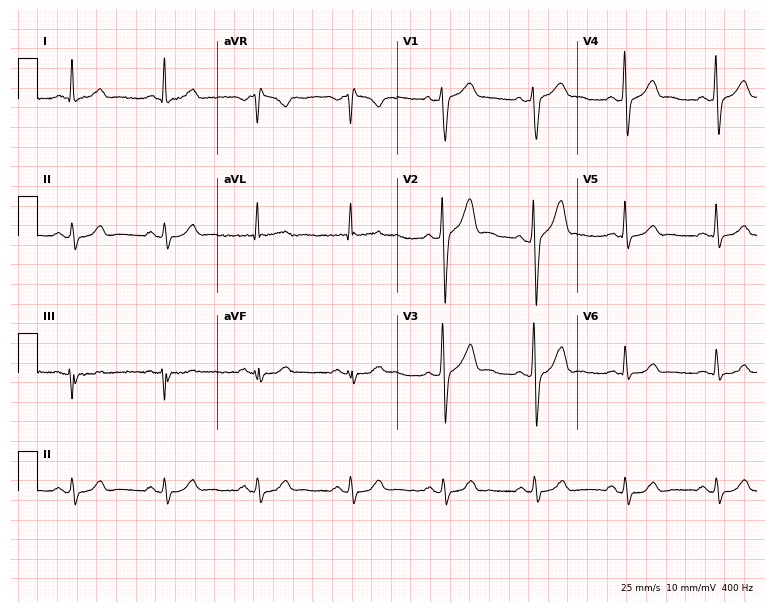
12-lead ECG from a 49-year-old man (7.3-second recording at 400 Hz). No first-degree AV block, right bundle branch block (RBBB), left bundle branch block (LBBB), sinus bradycardia, atrial fibrillation (AF) or sinus tachycardia recorded for this tracing. Other findings, if any, are not listed.